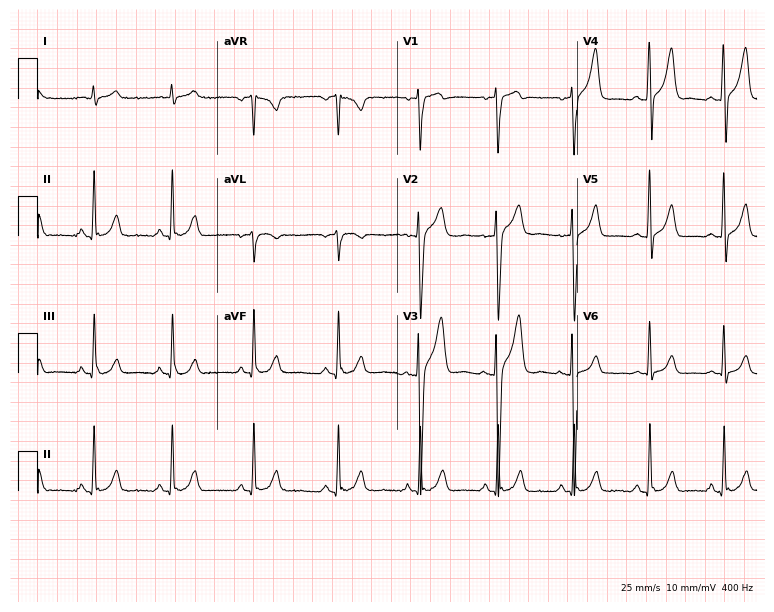
12-lead ECG from a man, 26 years old (7.3-second recording at 400 Hz). Recorded interpretation: within normal limits.